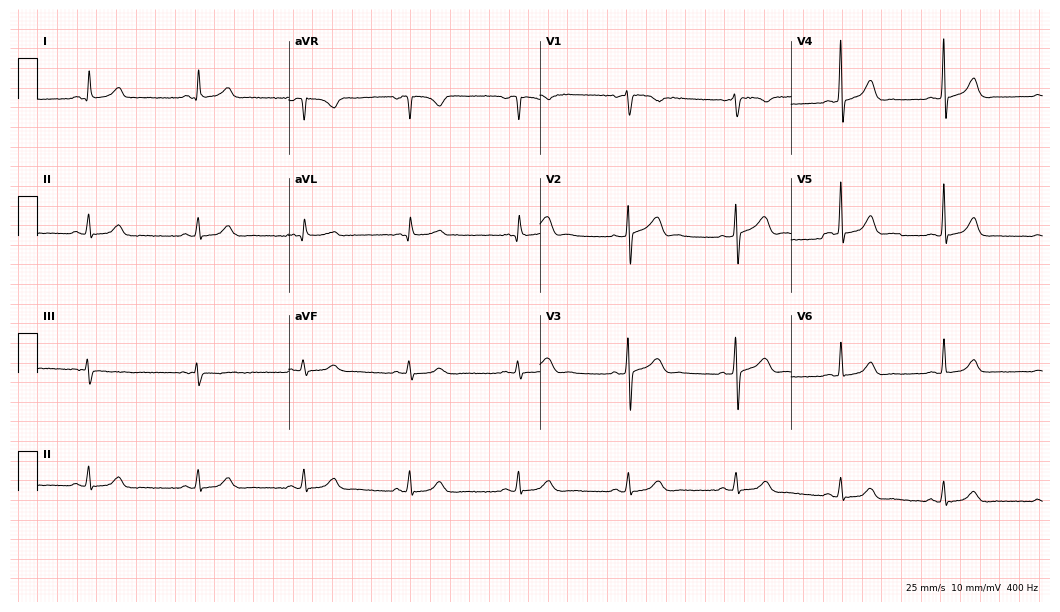
Resting 12-lead electrocardiogram (10.2-second recording at 400 Hz). Patient: a woman, 52 years old. None of these six findings is recorded: first-degree AV block, right bundle branch block, left bundle branch block, sinus bradycardia, atrial fibrillation, sinus tachycardia. Other findings, if any, are not listed.